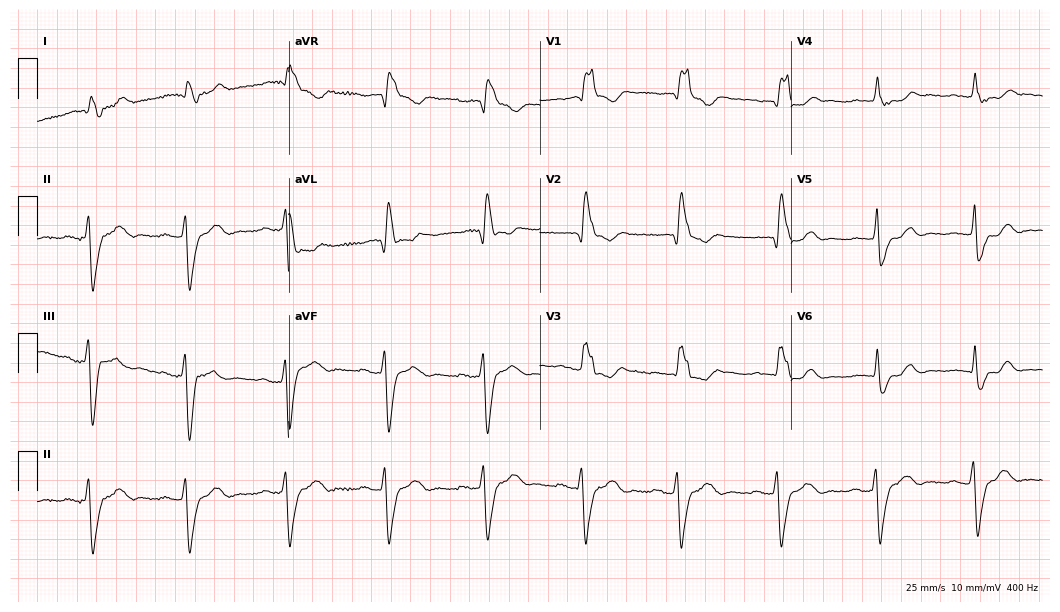
Standard 12-lead ECG recorded from a male, 85 years old. The tracing shows right bundle branch block.